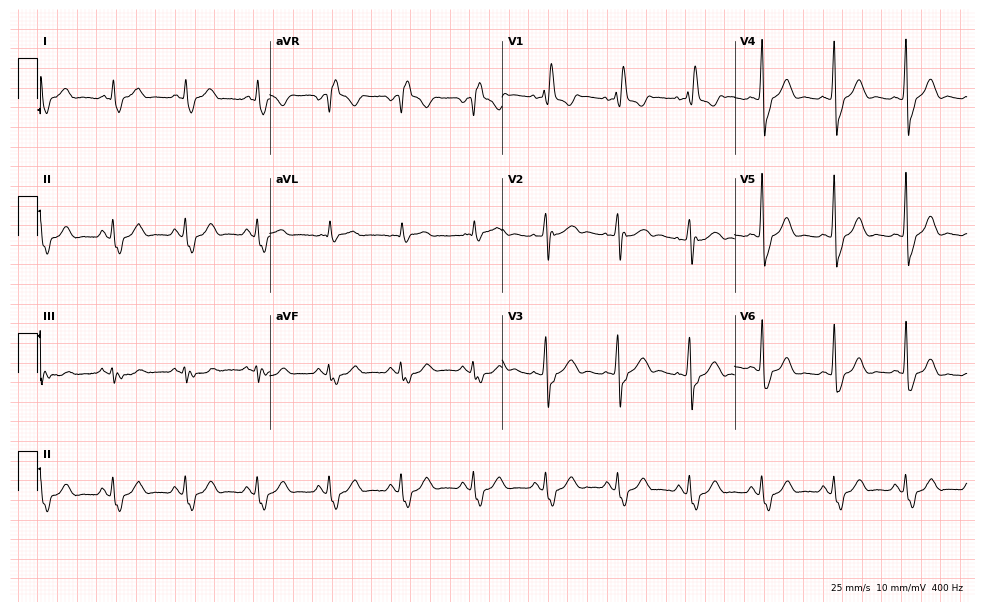
ECG — a 63-year-old female. Findings include right bundle branch block.